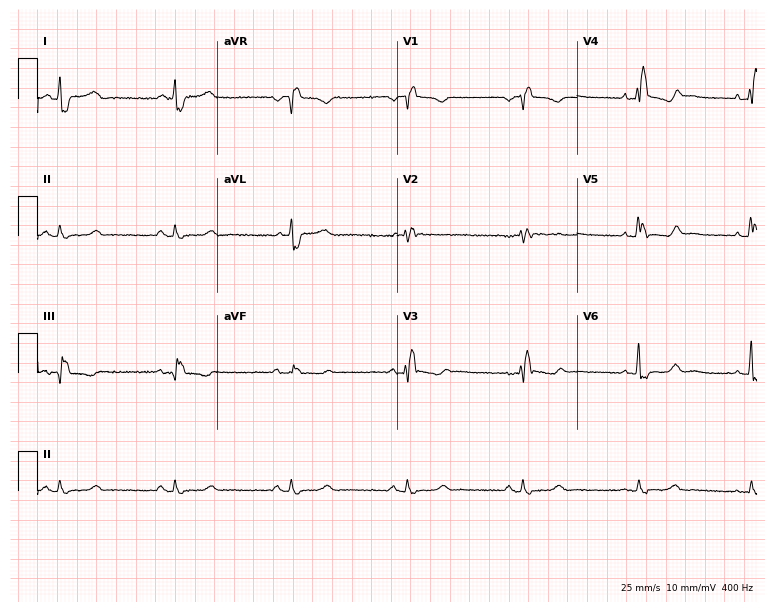
ECG (7.3-second recording at 400 Hz) — a female, 61 years old. Screened for six findings — first-degree AV block, right bundle branch block, left bundle branch block, sinus bradycardia, atrial fibrillation, sinus tachycardia — none is recorded.